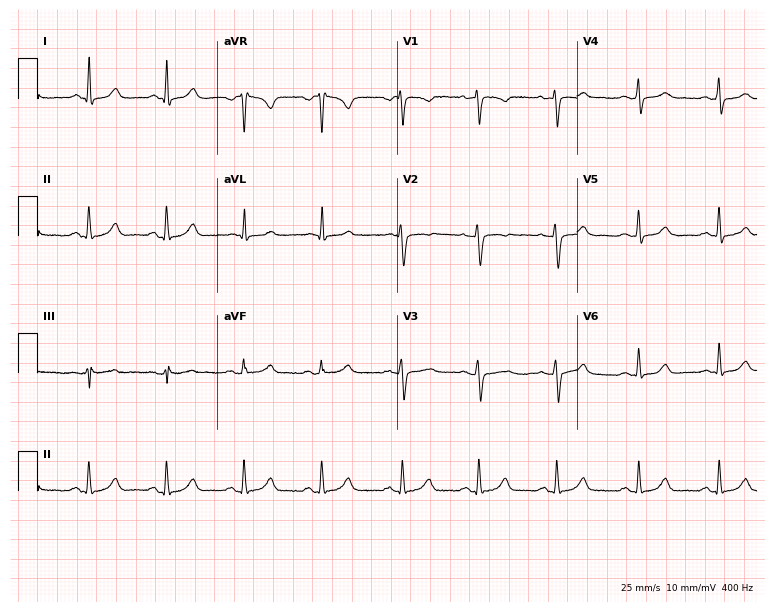
Electrocardiogram, a woman, 33 years old. Overall reading on record: normal ECG.